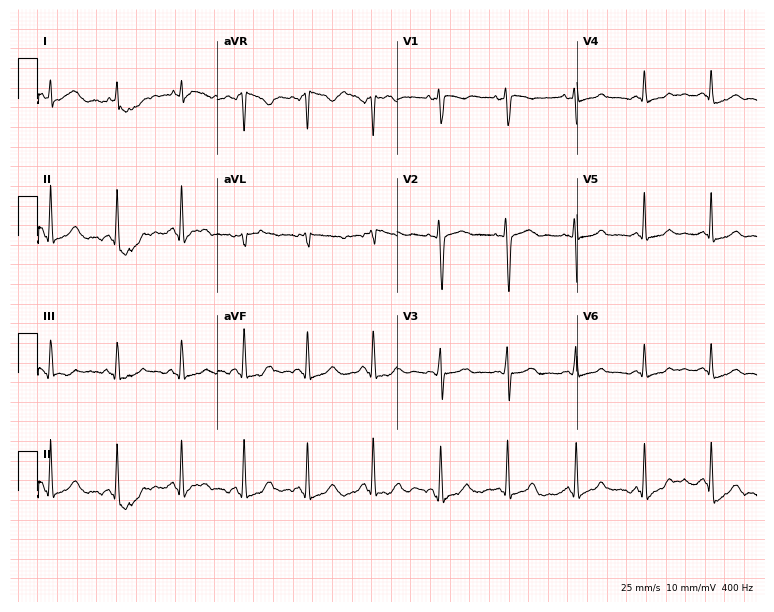
12-lead ECG from a 45-year-old woman. Labelled as a normal ECG.